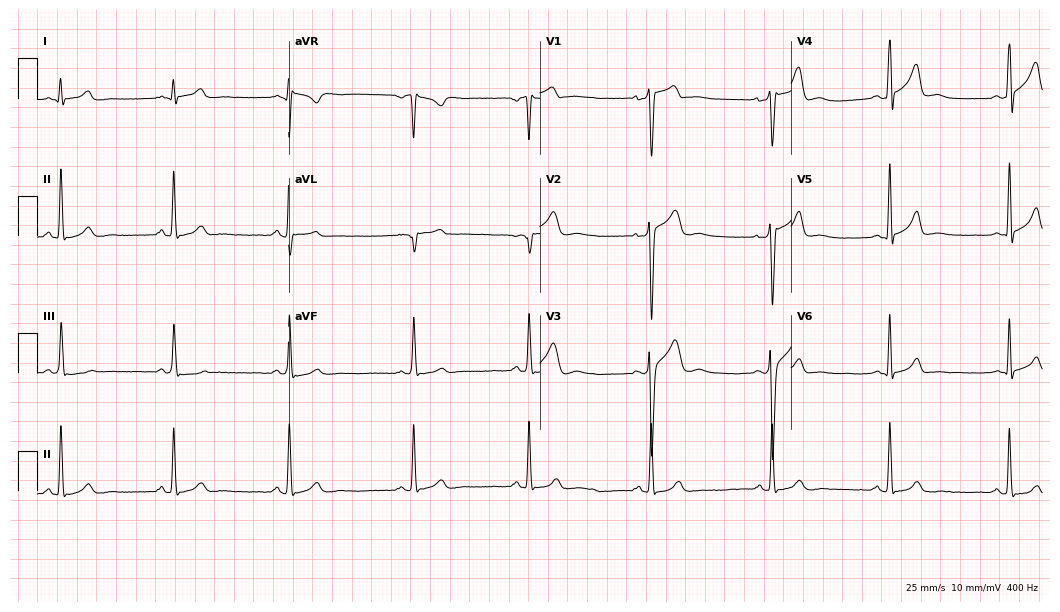
ECG (10.2-second recording at 400 Hz) — a 30-year-old male patient. Labelled as a normal ECG.